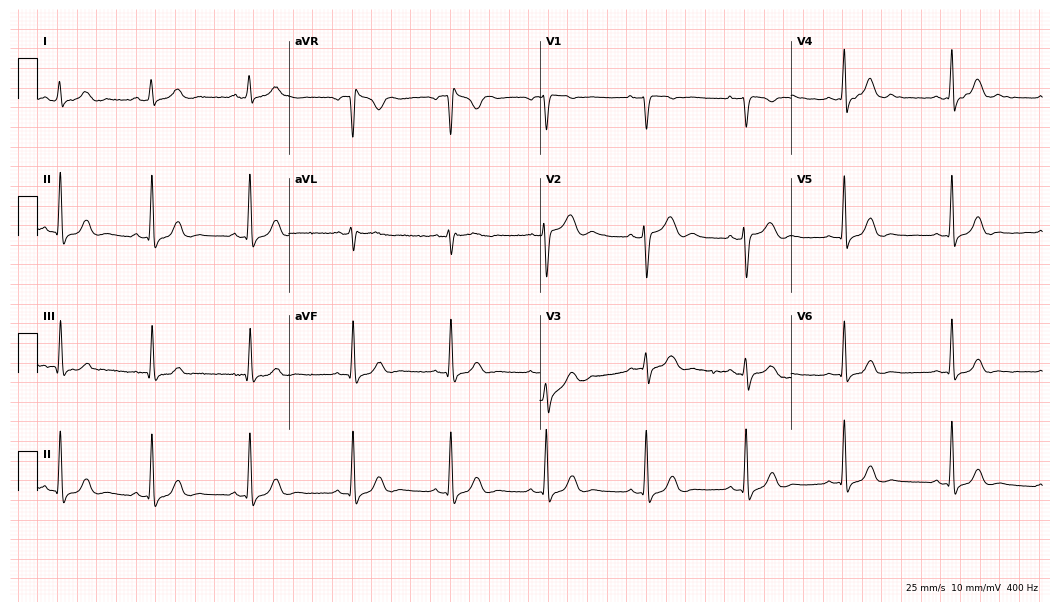
Resting 12-lead electrocardiogram. Patient: a woman, 25 years old. None of these six findings is recorded: first-degree AV block, right bundle branch block (RBBB), left bundle branch block (LBBB), sinus bradycardia, atrial fibrillation (AF), sinus tachycardia.